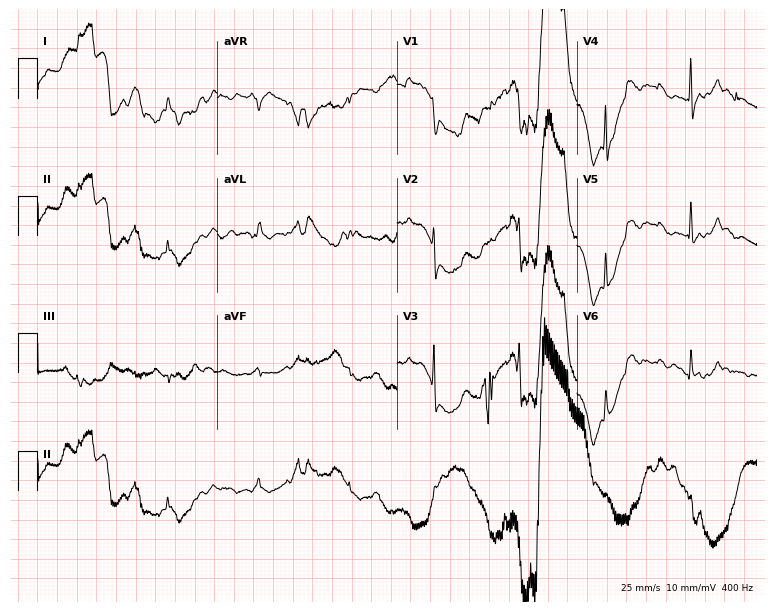
ECG — a 62-year-old woman. Screened for six findings — first-degree AV block, right bundle branch block, left bundle branch block, sinus bradycardia, atrial fibrillation, sinus tachycardia — none is recorded. Other findings, if any, are not listed.